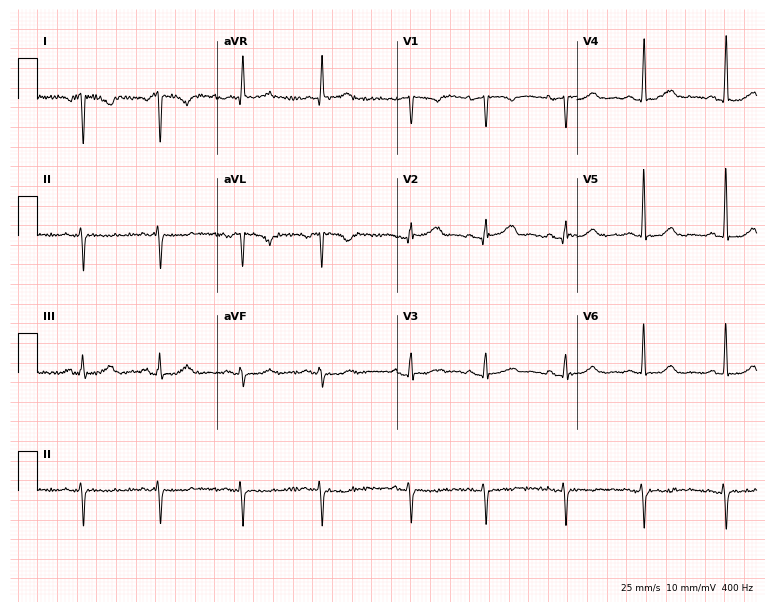
Electrocardiogram (7.3-second recording at 400 Hz), a female patient, 82 years old. Of the six screened findings (first-degree AV block, right bundle branch block (RBBB), left bundle branch block (LBBB), sinus bradycardia, atrial fibrillation (AF), sinus tachycardia), none is recorded. Findings outside these six are not listed.